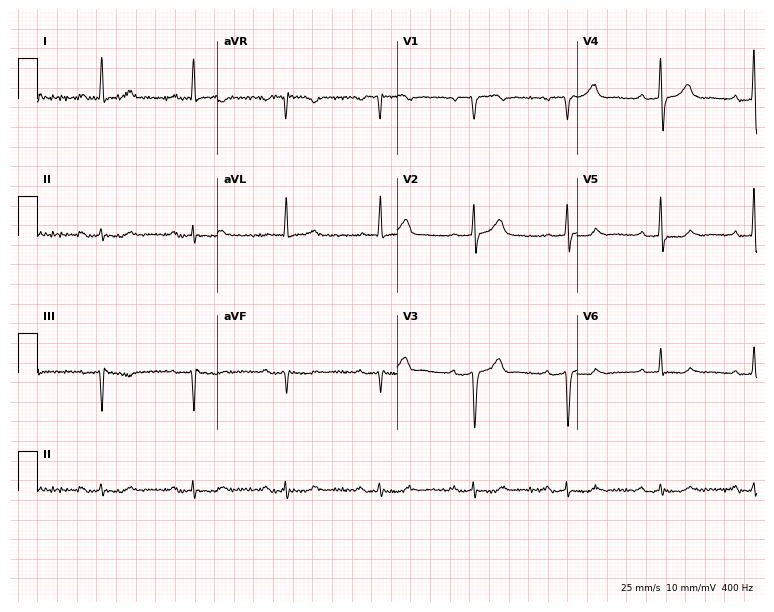
12-lead ECG from a male patient, 78 years old. Recorded interpretation: within normal limits.